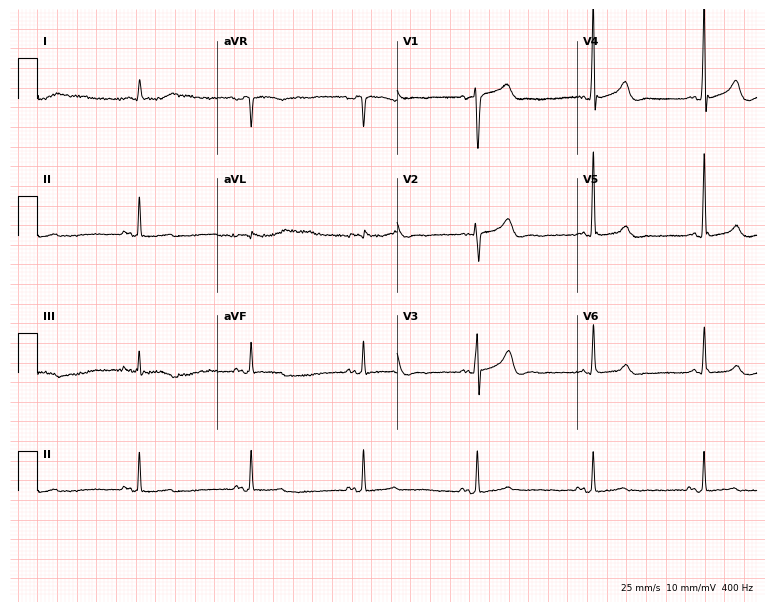
ECG — a male, 78 years old. Labelled as a normal ECG.